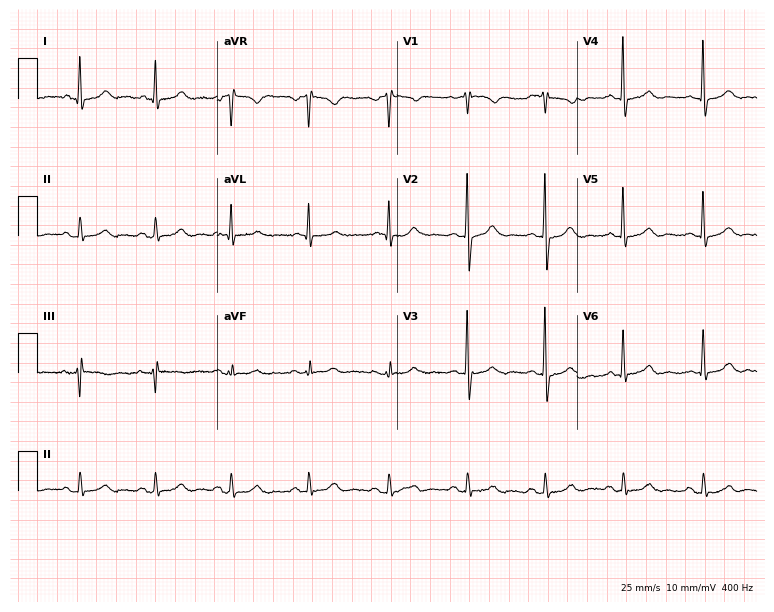
Resting 12-lead electrocardiogram (7.3-second recording at 400 Hz). Patient: a 64-year-old man. None of these six findings is recorded: first-degree AV block, right bundle branch block, left bundle branch block, sinus bradycardia, atrial fibrillation, sinus tachycardia.